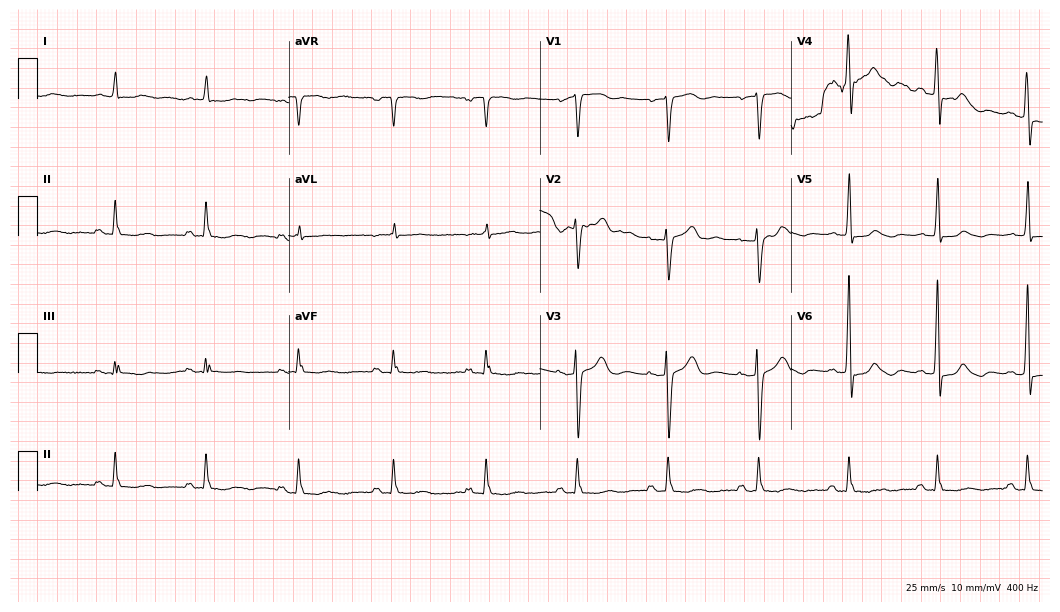
12-lead ECG from a 68-year-old male. Recorded interpretation: within normal limits.